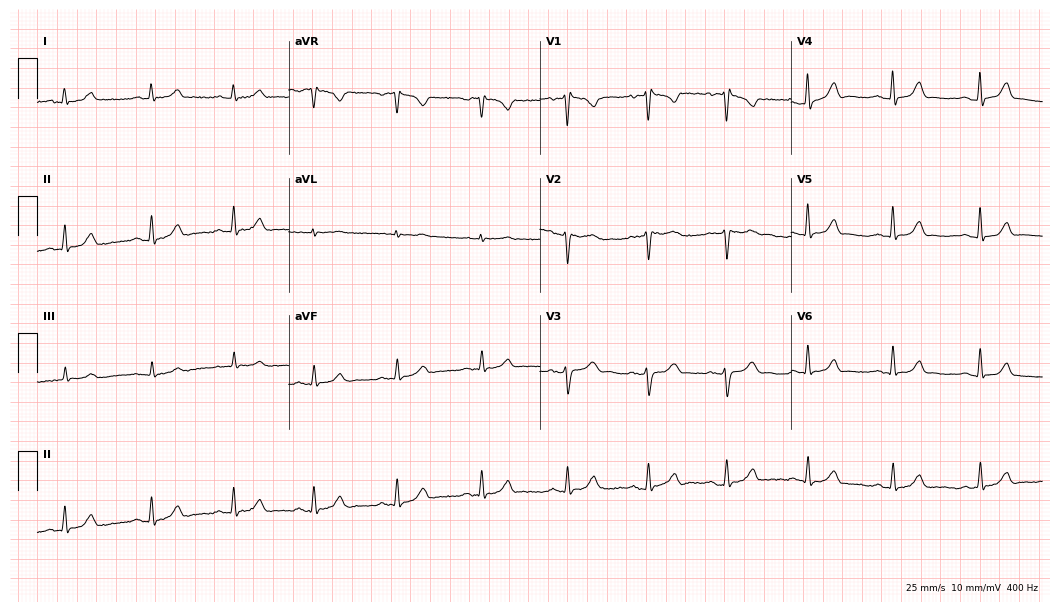
Resting 12-lead electrocardiogram. Patient: a woman, 39 years old. Read as a normal ECG.